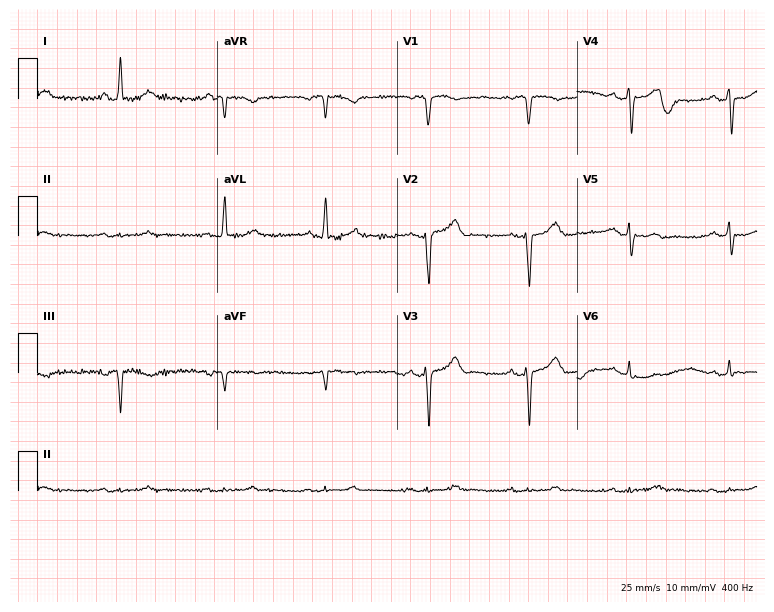
Resting 12-lead electrocardiogram. Patient: a male, 56 years old. None of these six findings is recorded: first-degree AV block, right bundle branch block, left bundle branch block, sinus bradycardia, atrial fibrillation, sinus tachycardia.